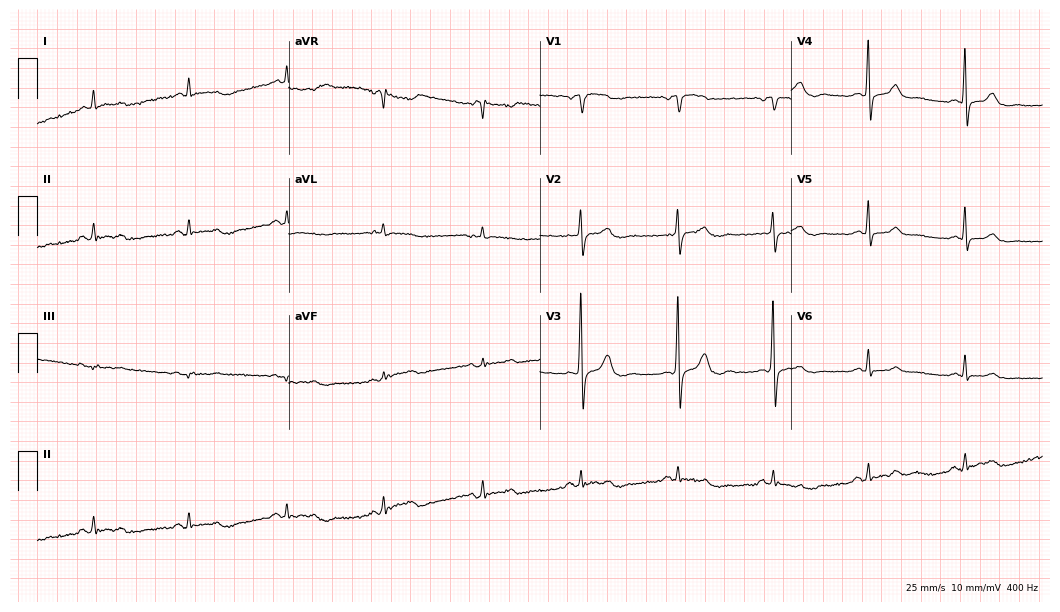
Resting 12-lead electrocardiogram. Patient: an 85-year-old male. None of these six findings is recorded: first-degree AV block, right bundle branch block (RBBB), left bundle branch block (LBBB), sinus bradycardia, atrial fibrillation (AF), sinus tachycardia.